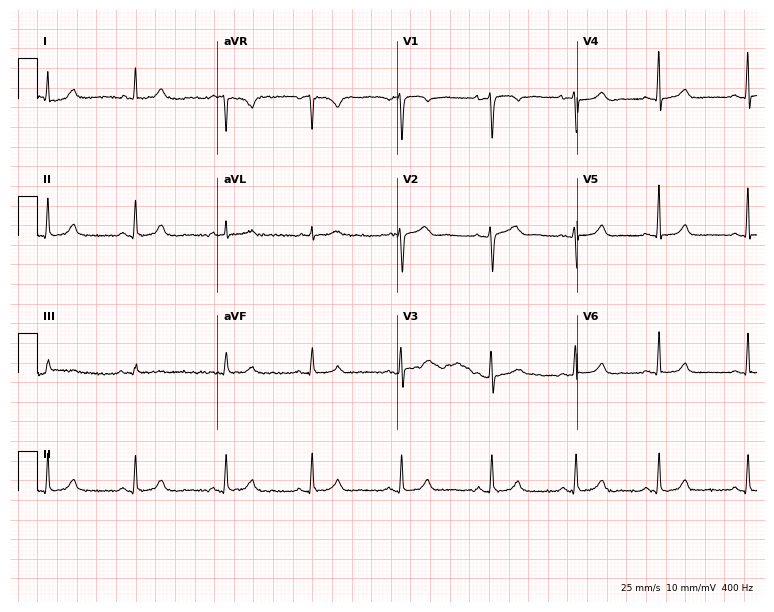
Electrocardiogram (7.3-second recording at 400 Hz), a female patient, 36 years old. Overall reading on record: normal ECG.